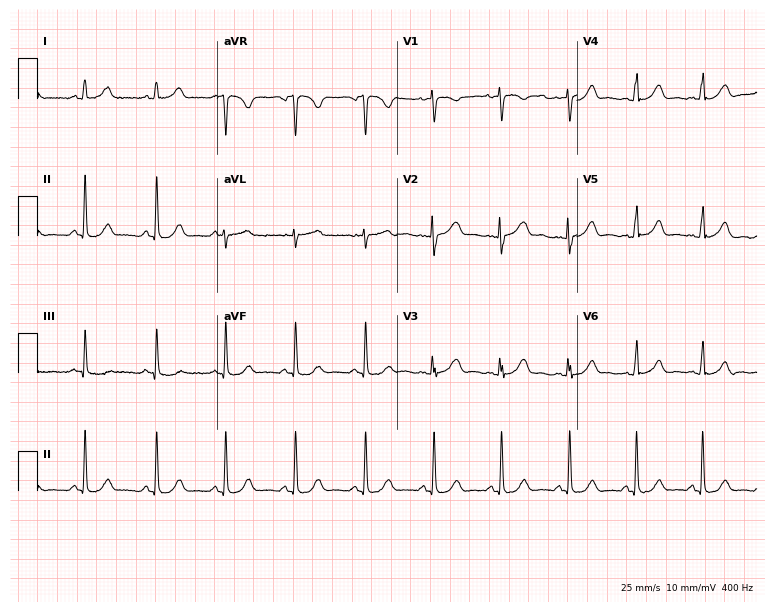
12-lead ECG (7.3-second recording at 400 Hz) from a woman, 28 years old. Labelled as a normal ECG.